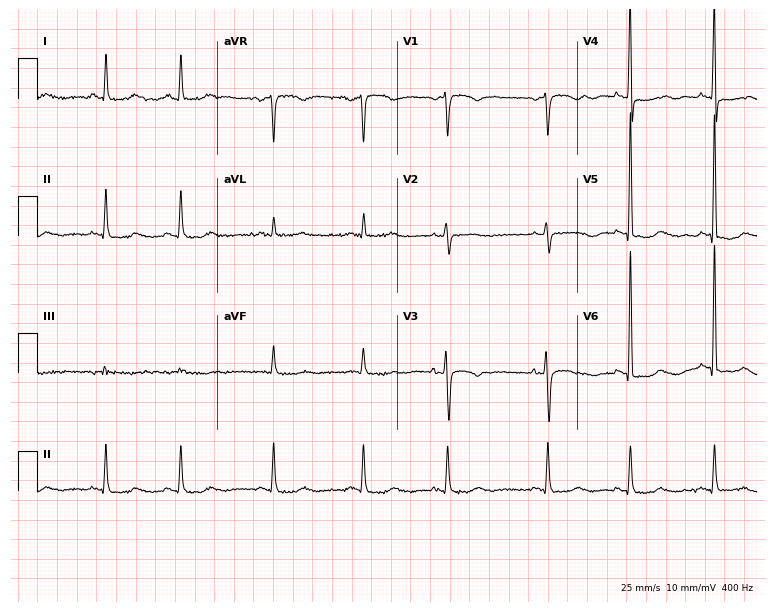
Resting 12-lead electrocardiogram. Patient: a 74-year-old female. None of these six findings is recorded: first-degree AV block, right bundle branch block (RBBB), left bundle branch block (LBBB), sinus bradycardia, atrial fibrillation (AF), sinus tachycardia. Findings outside these six are not listed.